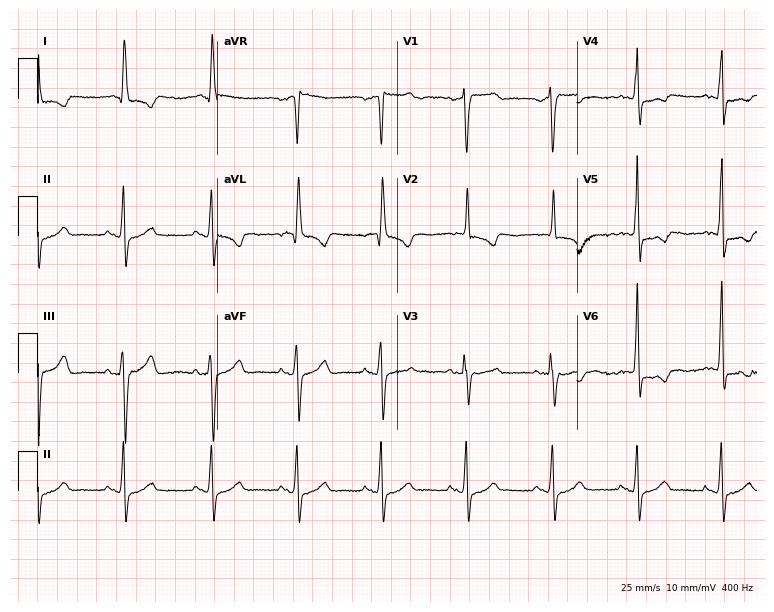
Resting 12-lead electrocardiogram. Patient: a female, 84 years old. None of these six findings is recorded: first-degree AV block, right bundle branch block, left bundle branch block, sinus bradycardia, atrial fibrillation, sinus tachycardia. Findings outside these six are not listed.